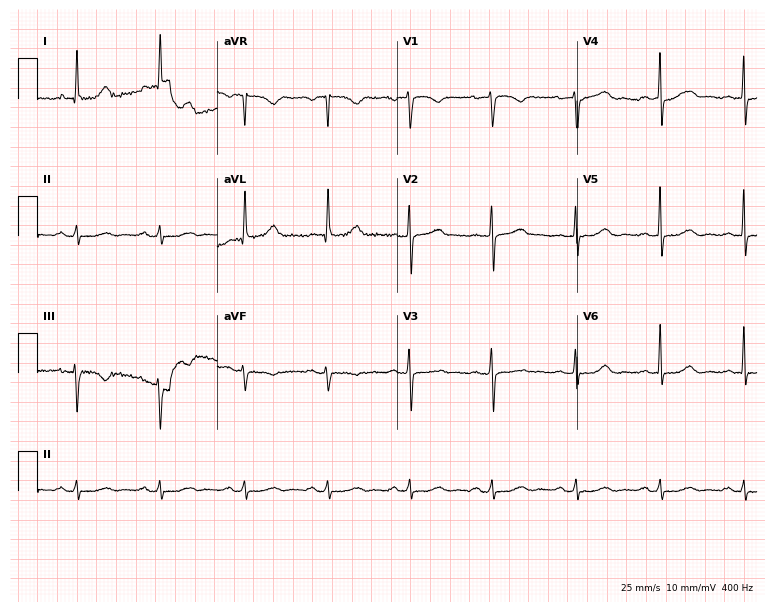
Electrocardiogram, a female, 66 years old. Of the six screened findings (first-degree AV block, right bundle branch block, left bundle branch block, sinus bradycardia, atrial fibrillation, sinus tachycardia), none is recorded. Only these six findings were labelled.